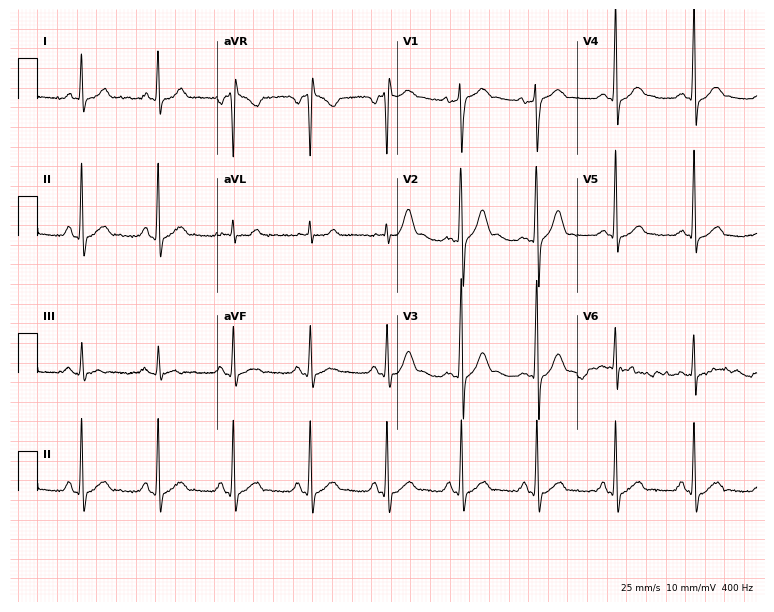
Resting 12-lead electrocardiogram. Patient: a male, 26 years old. None of these six findings is recorded: first-degree AV block, right bundle branch block (RBBB), left bundle branch block (LBBB), sinus bradycardia, atrial fibrillation (AF), sinus tachycardia.